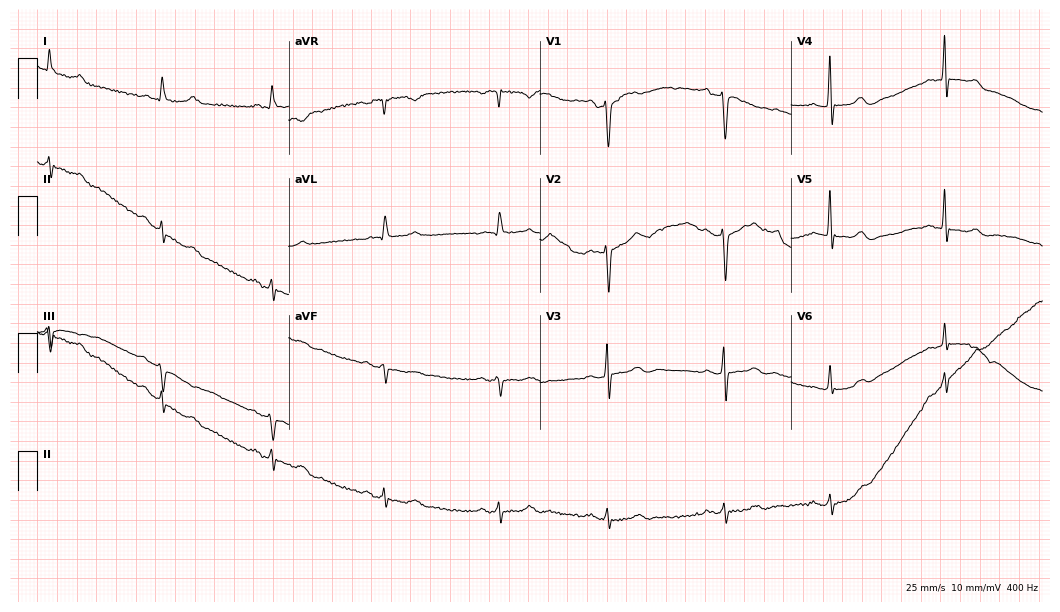
12-lead ECG (10.2-second recording at 400 Hz) from a 78-year-old male patient. Screened for six findings — first-degree AV block, right bundle branch block, left bundle branch block, sinus bradycardia, atrial fibrillation, sinus tachycardia — none is recorded. Findings outside these six are not listed.